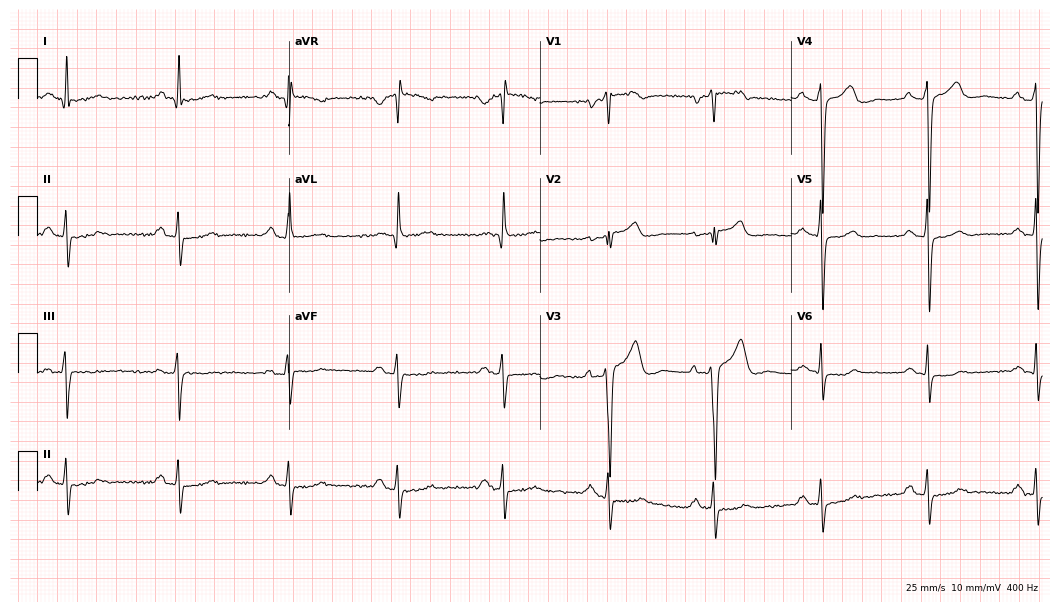
12-lead ECG from a 34-year-old man. No first-degree AV block, right bundle branch block, left bundle branch block, sinus bradycardia, atrial fibrillation or sinus tachycardia recorded for this tracing. Other findings, if any, are not listed.